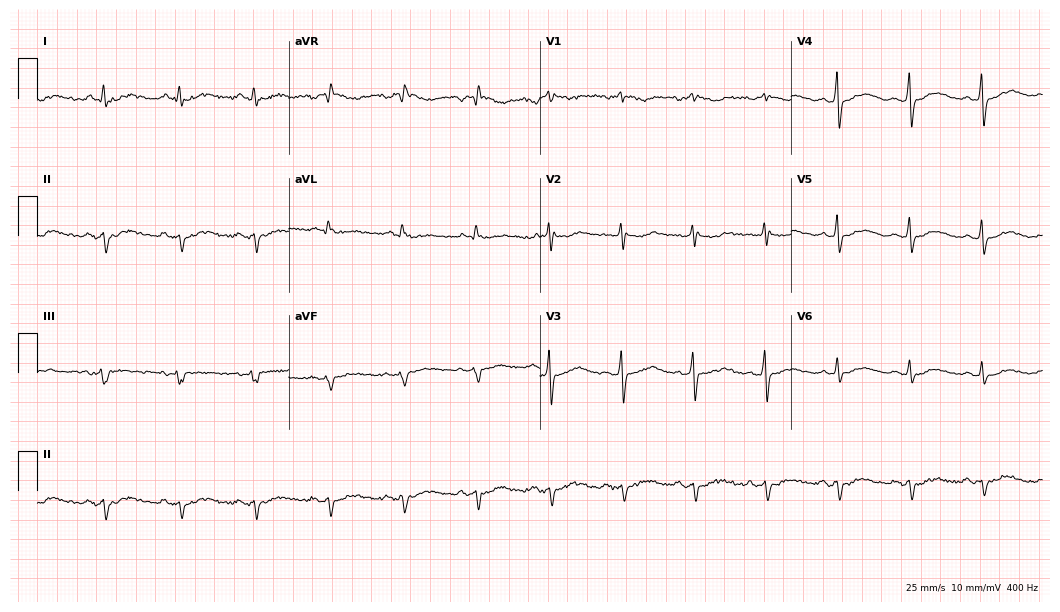
Electrocardiogram, a man, 57 years old. Of the six screened findings (first-degree AV block, right bundle branch block, left bundle branch block, sinus bradycardia, atrial fibrillation, sinus tachycardia), none is recorded. Other findings, if any, are not listed.